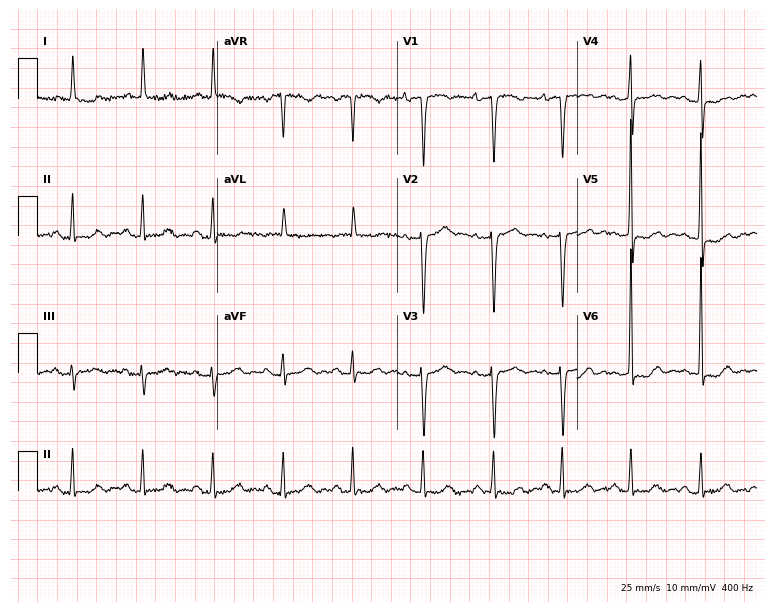
12-lead ECG from a female, 71 years old. Screened for six findings — first-degree AV block, right bundle branch block, left bundle branch block, sinus bradycardia, atrial fibrillation, sinus tachycardia — none is recorded.